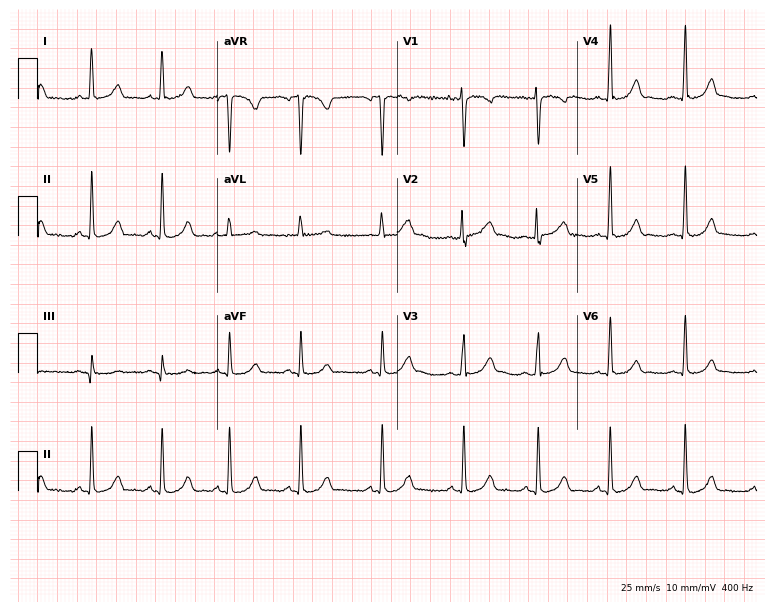
Standard 12-lead ECG recorded from a 22-year-old female patient. Read as a normal ECG.